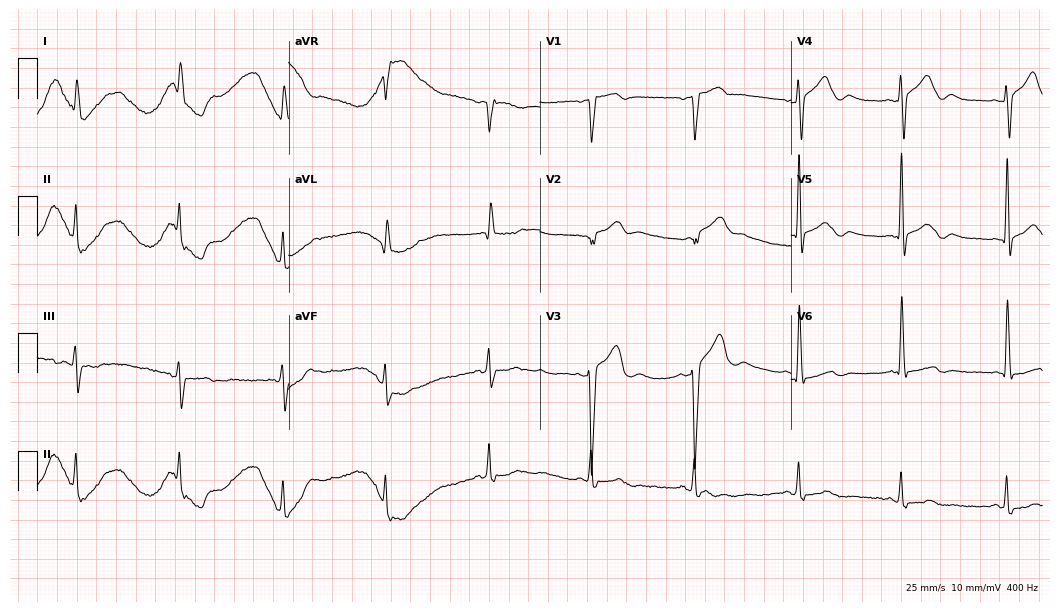
Electrocardiogram, an 82-year-old man. Of the six screened findings (first-degree AV block, right bundle branch block, left bundle branch block, sinus bradycardia, atrial fibrillation, sinus tachycardia), none is recorded. Findings outside these six are not listed.